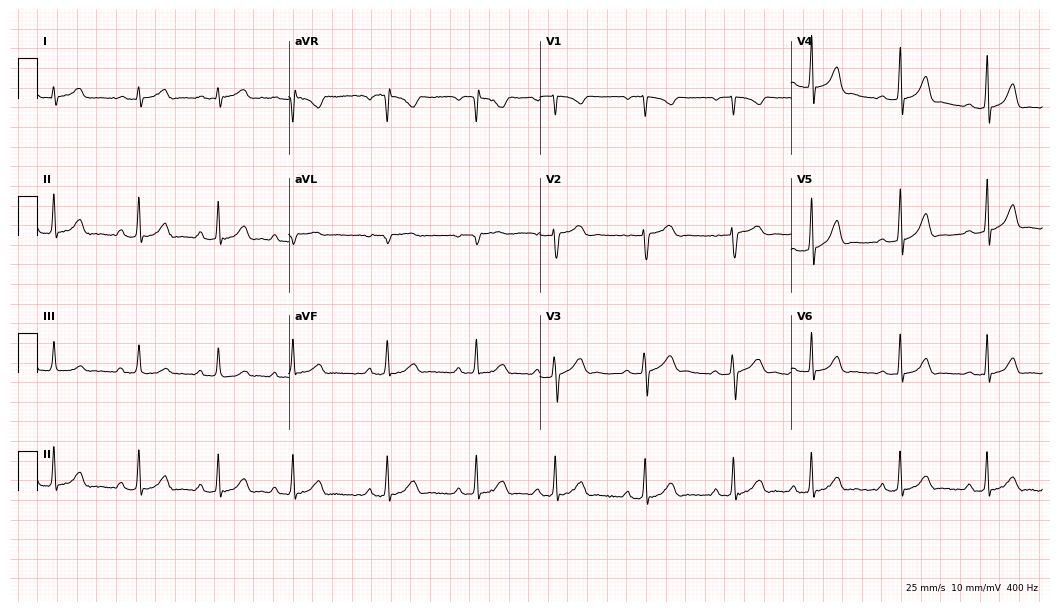
Standard 12-lead ECG recorded from a 20-year-old female (10.2-second recording at 400 Hz). Read as a normal ECG.